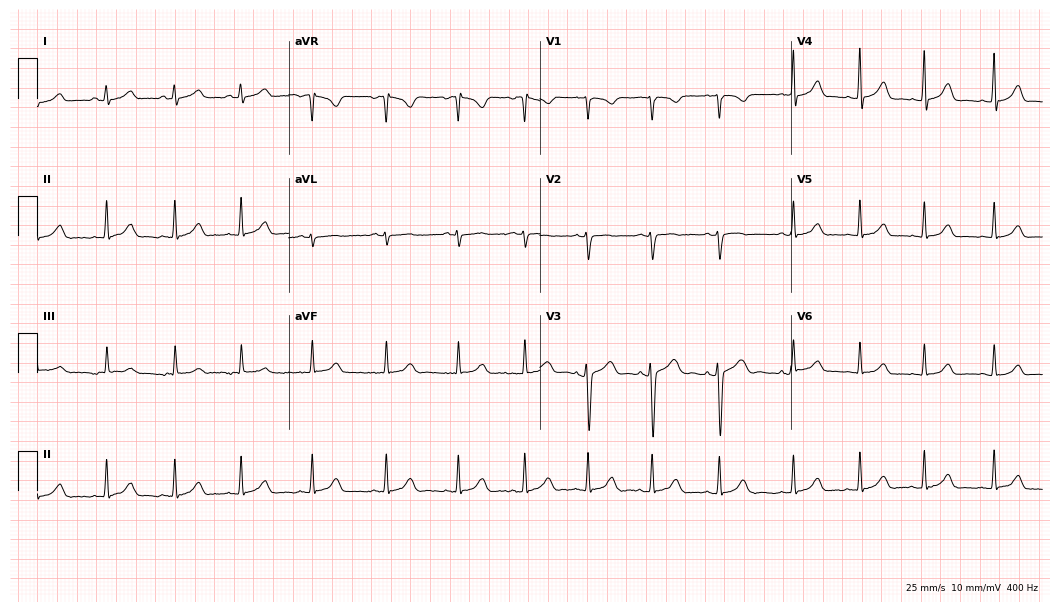
12-lead ECG from a 21-year-old female. Screened for six findings — first-degree AV block, right bundle branch block, left bundle branch block, sinus bradycardia, atrial fibrillation, sinus tachycardia — none is recorded. Only these six findings were labelled.